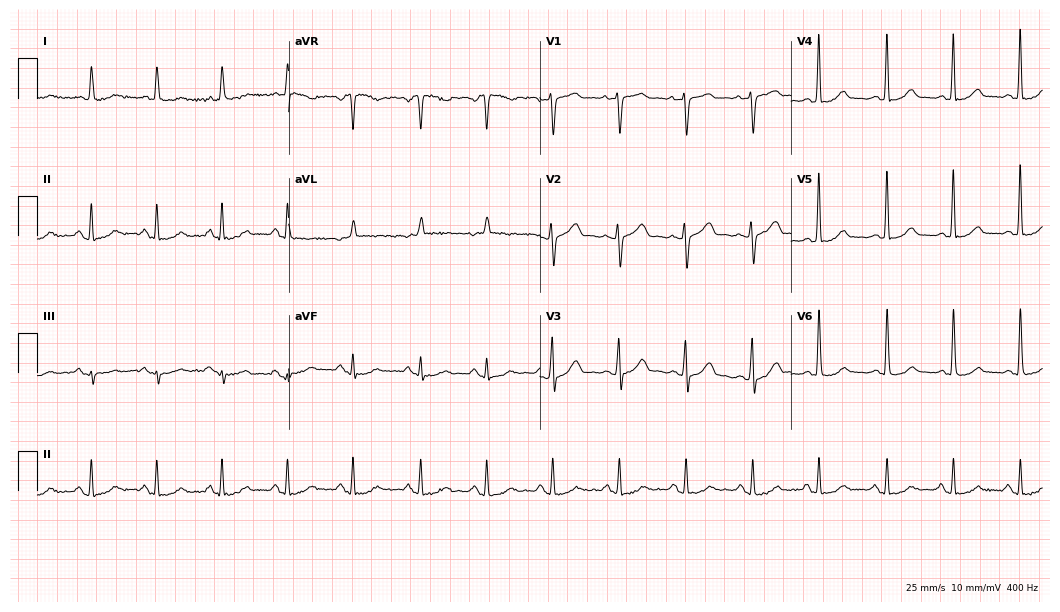
Standard 12-lead ECG recorded from an 85-year-old female patient (10.2-second recording at 400 Hz). None of these six findings is recorded: first-degree AV block, right bundle branch block (RBBB), left bundle branch block (LBBB), sinus bradycardia, atrial fibrillation (AF), sinus tachycardia. Other findings, if any, are not listed.